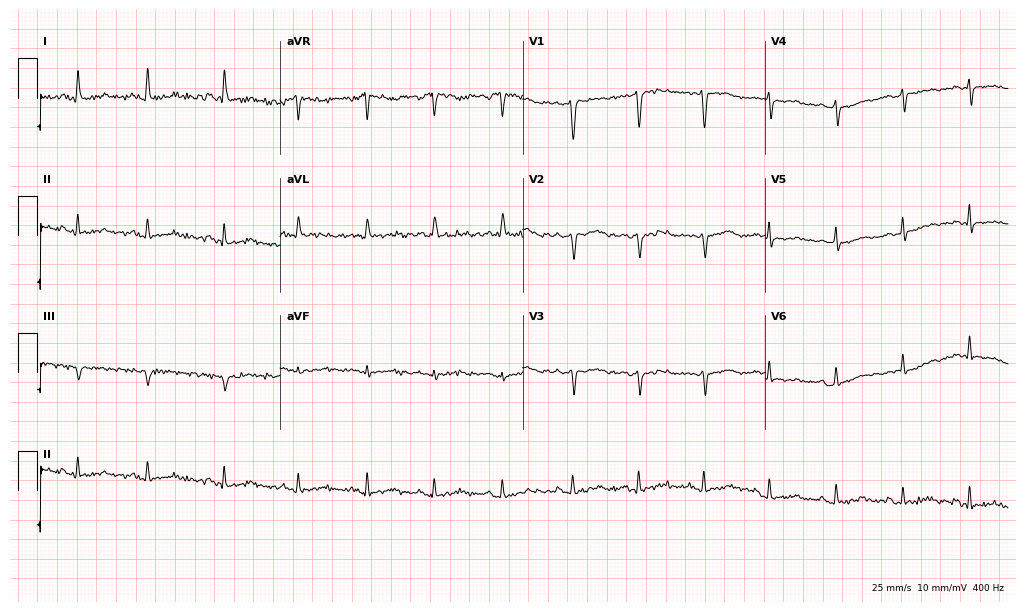
Standard 12-lead ECG recorded from a 52-year-old woman. None of these six findings is recorded: first-degree AV block, right bundle branch block (RBBB), left bundle branch block (LBBB), sinus bradycardia, atrial fibrillation (AF), sinus tachycardia. Other findings, if any, are not listed.